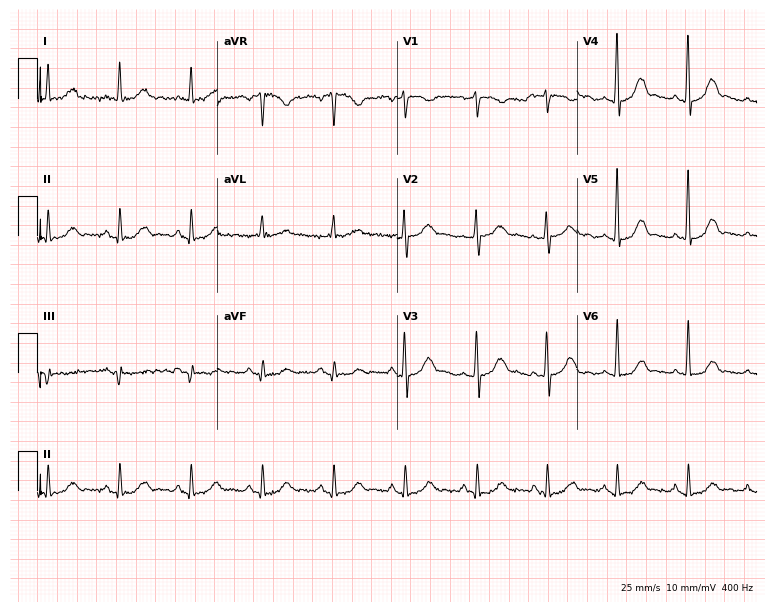
12-lead ECG (7.3-second recording at 400 Hz) from a 57-year-old female. Labelled as a normal ECG.